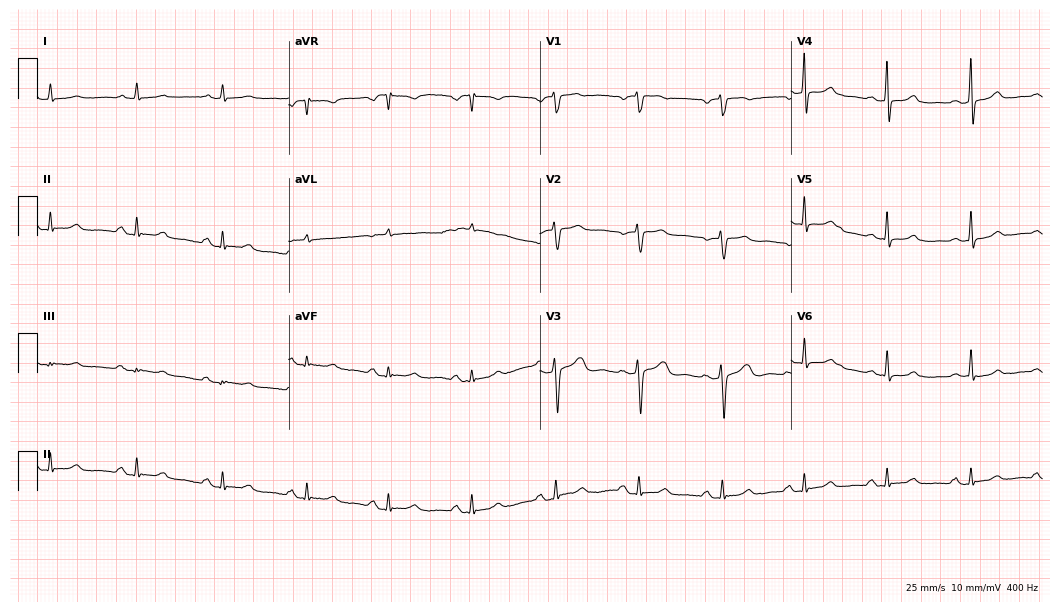
Standard 12-lead ECG recorded from a 54-year-old female patient. Read as a normal ECG.